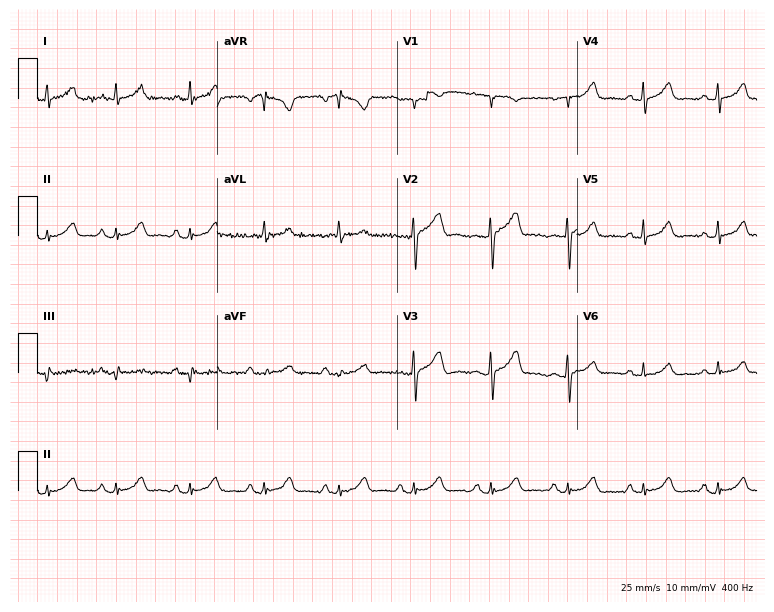
12-lead ECG from a 53-year-old female. No first-degree AV block, right bundle branch block (RBBB), left bundle branch block (LBBB), sinus bradycardia, atrial fibrillation (AF) or sinus tachycardia recorded for this tracing. Only these six findings were labelled.